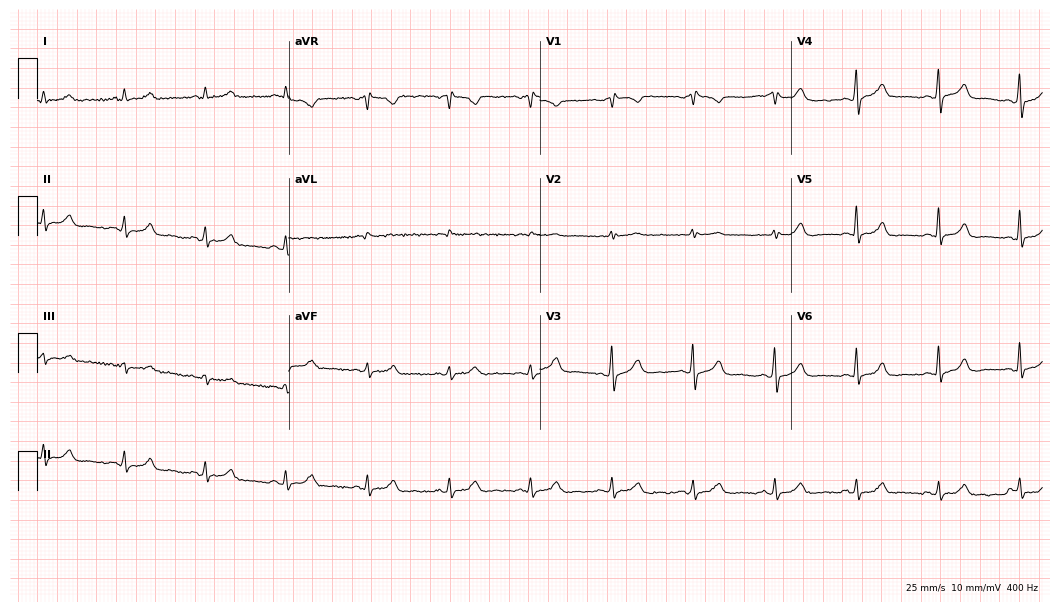
Standard 12-lead ECG recorded from a 76-year-old male patient. Read as a normal ECG.